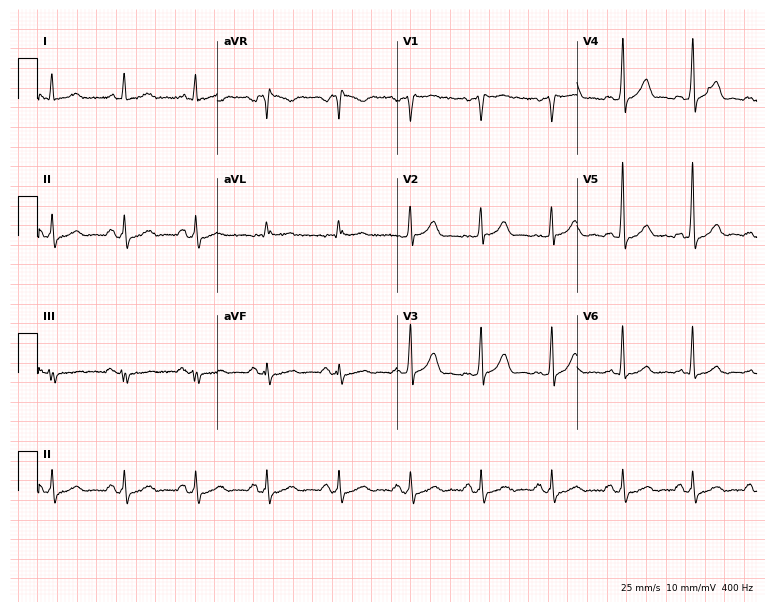
12-lead ECG (7.3-second recording at 400 Hz) from a 41-year-old male. Labelled as a normal ECG.